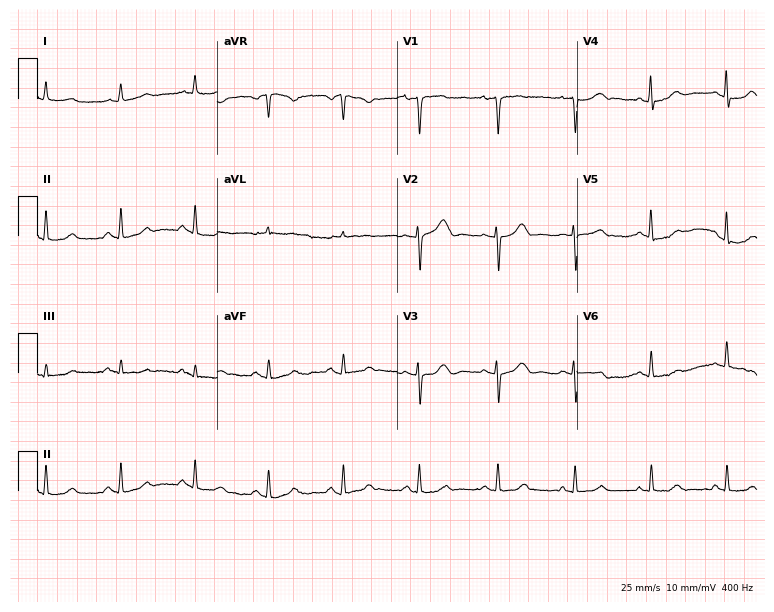
Standard 12-lead ECG recorded from a 42-year-old female patient (7.3-second recording at 400 Hz). Read as a normal ECG.